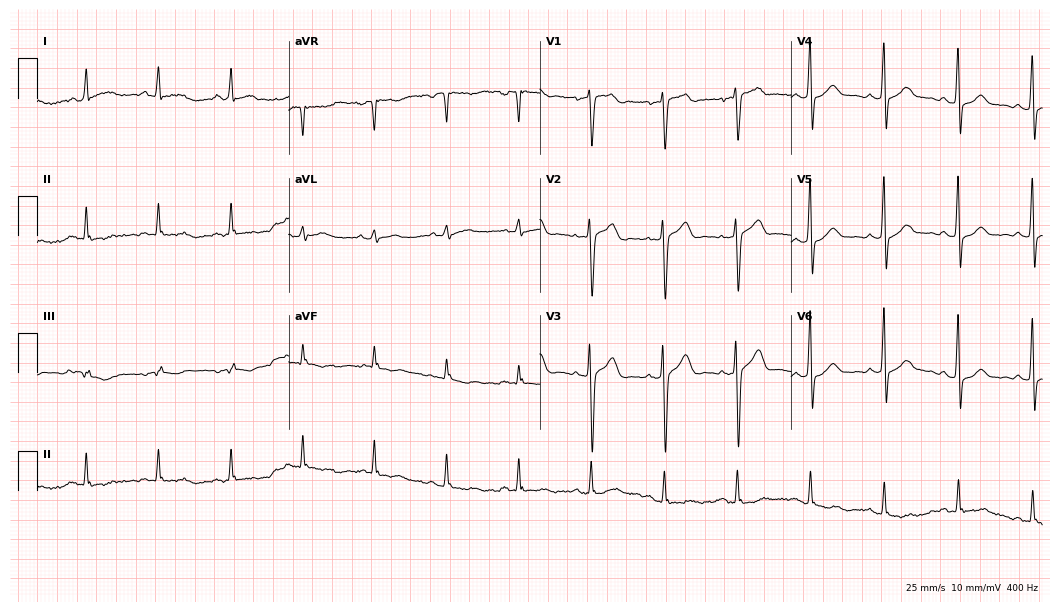
12-lead ECG from a 52-year-old male patient (10.2-second recording at 400 Hz). No first-degree AV block, right bundle branch block (RBBB), left bundle branch block (LBBB), sinus bradycardia, atrial fibrillation (AF) or sinus tachycardia recorded for this tracing.